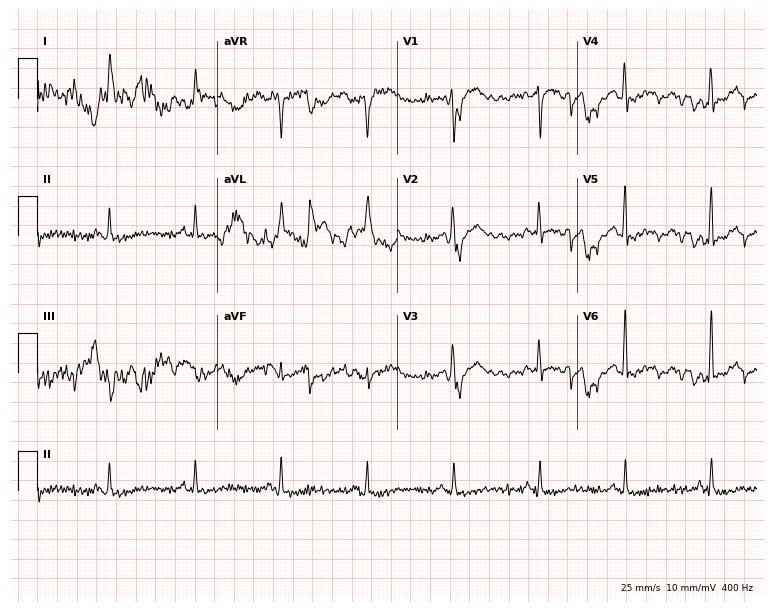
12-lead ECG from a 58-year-old female (7.3-second recording at 400 Hz). No first-degree AV block, right bundle branch block (RBBB), left bundle branch block (LBBB), sinus bradycardia, atrial fibrillation (AF) or sinus tachycardia recorded for this tracing.